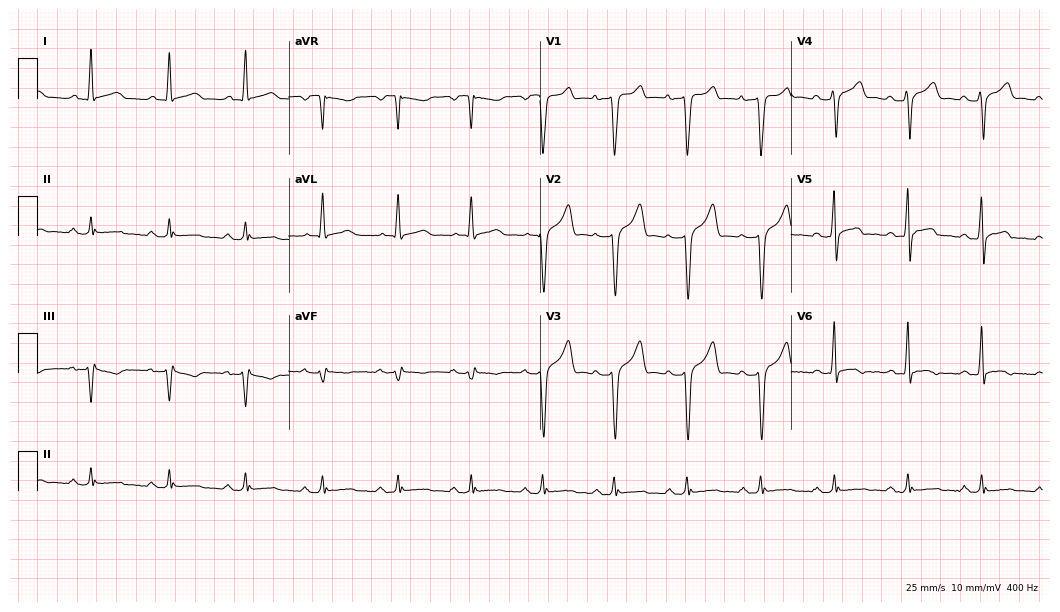
Resting 12-lead electrocardiogram. Patient: a 46-year-old male. None of these six findings is recorded: first-degree AV block, right bundle branch block, left bundle branch block, sinus bradycardia, atrial fibrillation, sinus tachycardia. Findings outside these six are not listed.